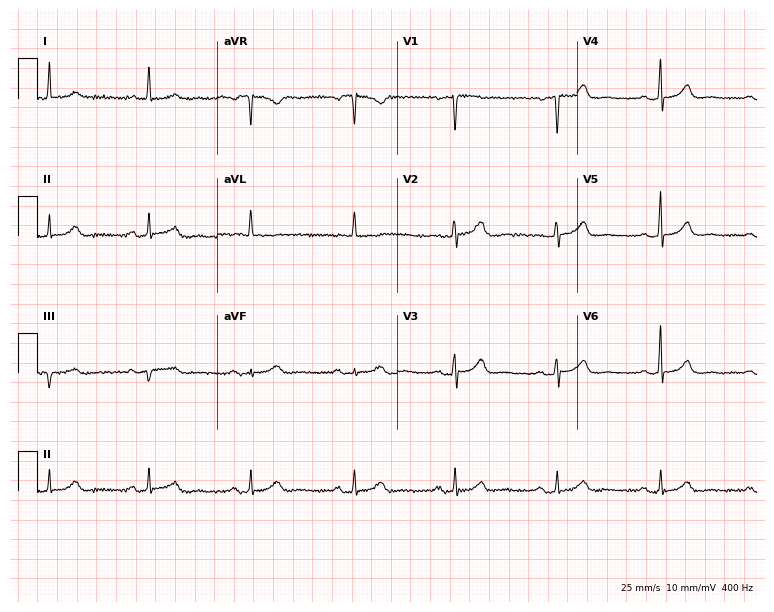
Standard 12-lead ECG recorded from a woman, 53 years old (7.3-second recording at 400 Hz). None of these six findings is recorded: first-degree AV block, right bundle branch block (RBBB), left bundle branch block (LBBB), sinus bradycardia, atrial fibrillation (AF), sinus tachycardia.